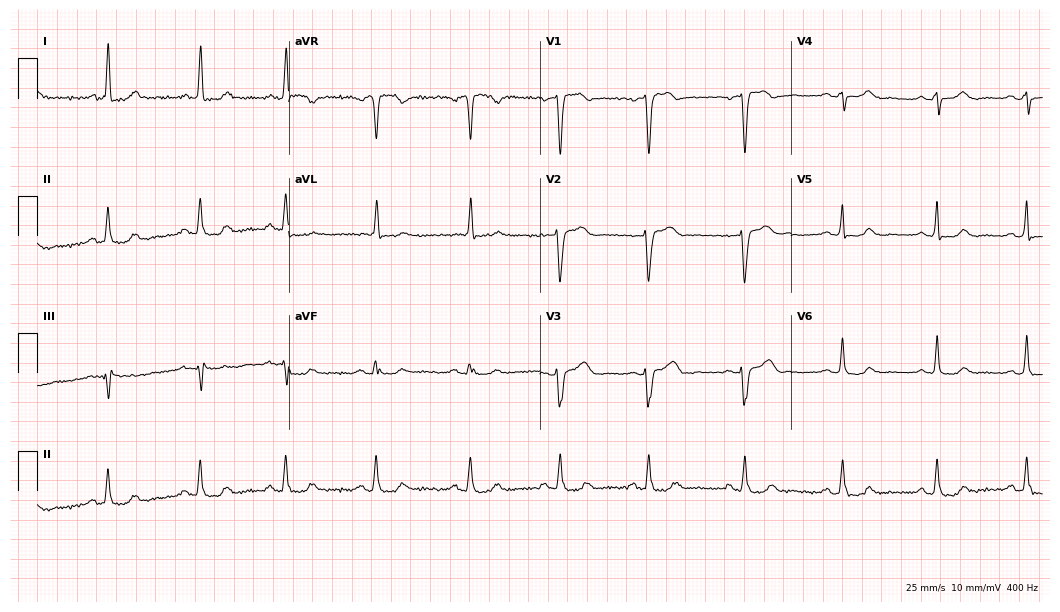
Resting 12-lead electrocardiogram. Patient: a 60-year-old female. Read as a normal ECG.